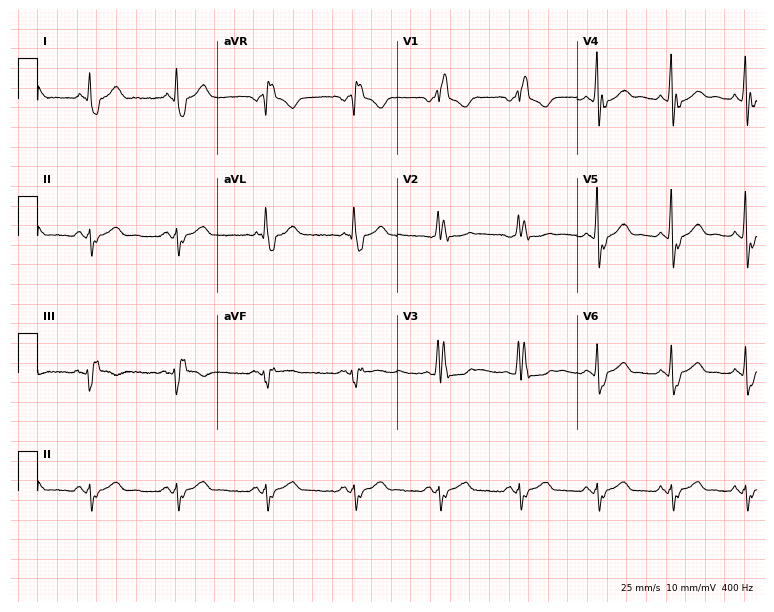
Resting 12-lead electrocardiogram. Patient: a male, 52 years old. The tracing shows right bundle branch block.